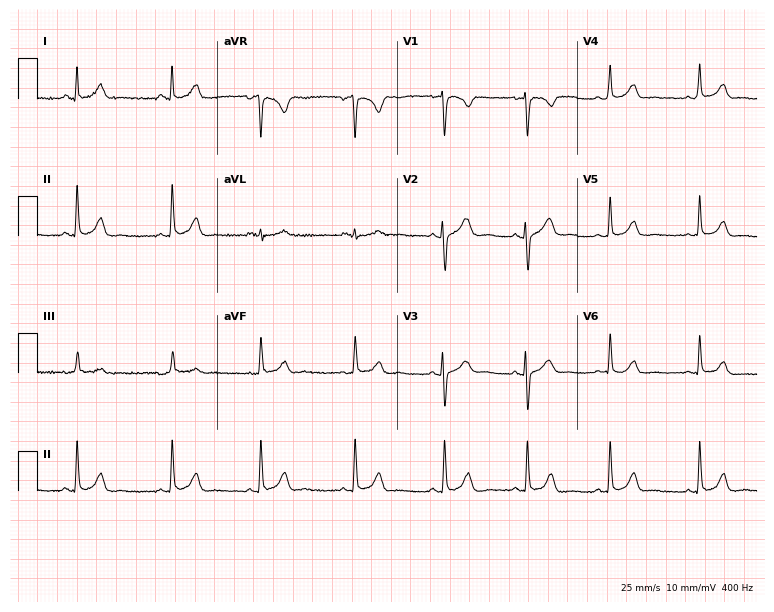
12-lead ECG from a 32-year-old female patient. Recorded interpretation: within normal limits.